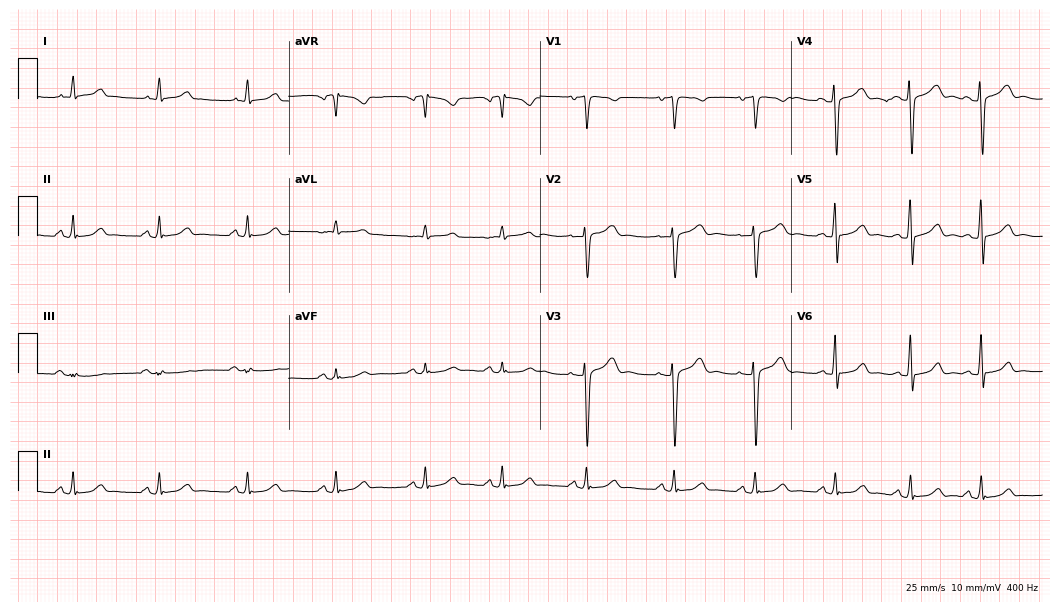
12-lead ECG from a 24-year-old female patient. Recorded interpretation: within normal limits.